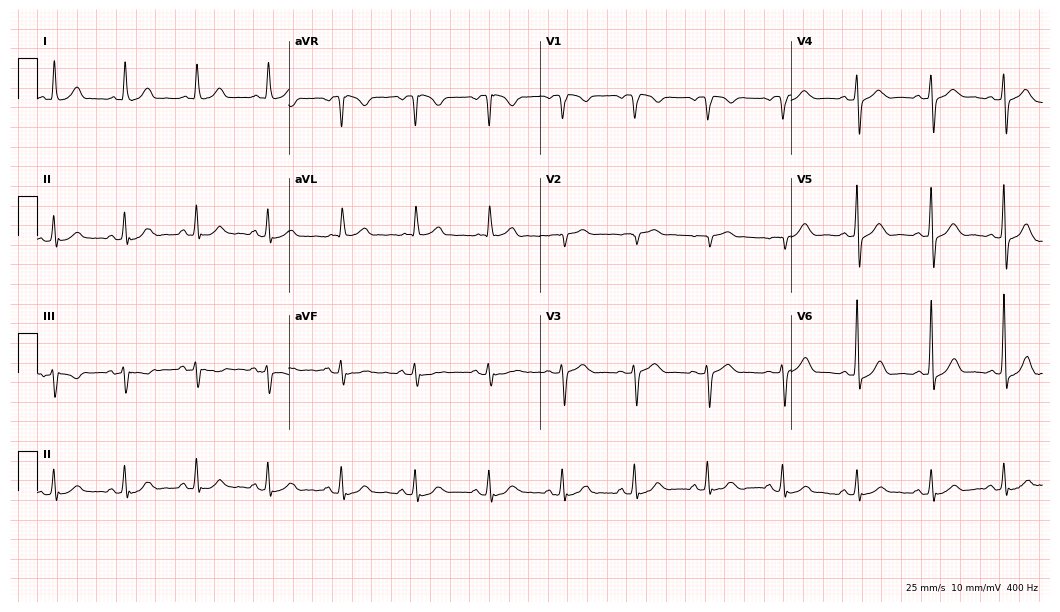
Electrocardiogram (10.2-second recording at 400 Hz), a female, 74 years old. Of the six screened findings (first-degree AV block, right bundle branch block, left bundle branch block, sinus bradycardia, atrial fibrillation, sinus tachycardia), none is recorded. Only these six findings were labelled.